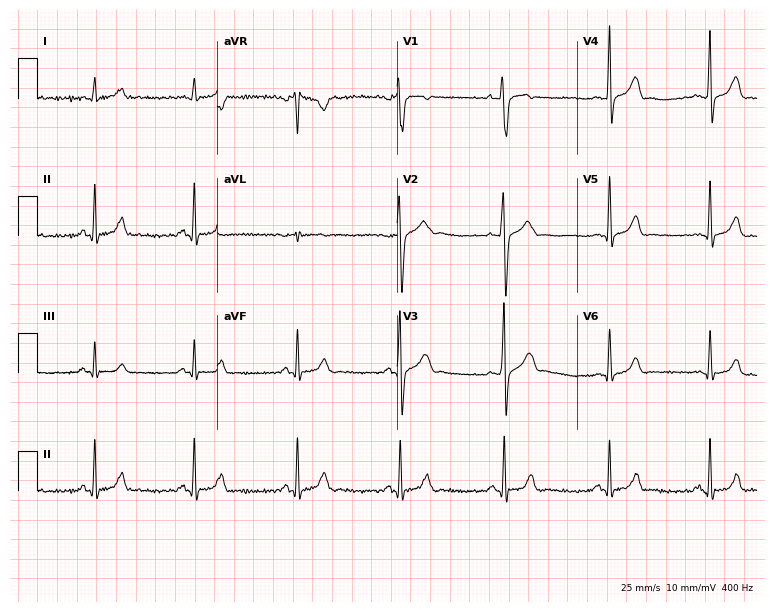
Resting 12-lead electrocardiogram (7.3-second recording at 400 Hz). Patient: a 26-year-old man. None of these six findings is recorded: first-degree AV block, right bundle branch block, left bundle branch block, sinus bradycardia, atrial fibrillation, sinus tachycardia.